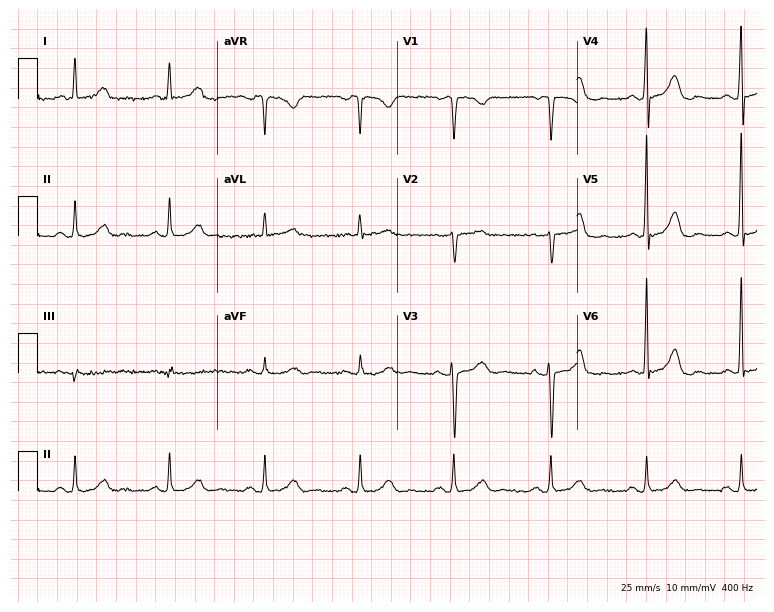
Electrocardiogram, a 69-year-old female patient. Of the six screened findings (first-degree AV block, right bundle branch block, left bundle branch block, sinus bradycardia, atrial fibrillation, sinus tachycardia), none is recorded.